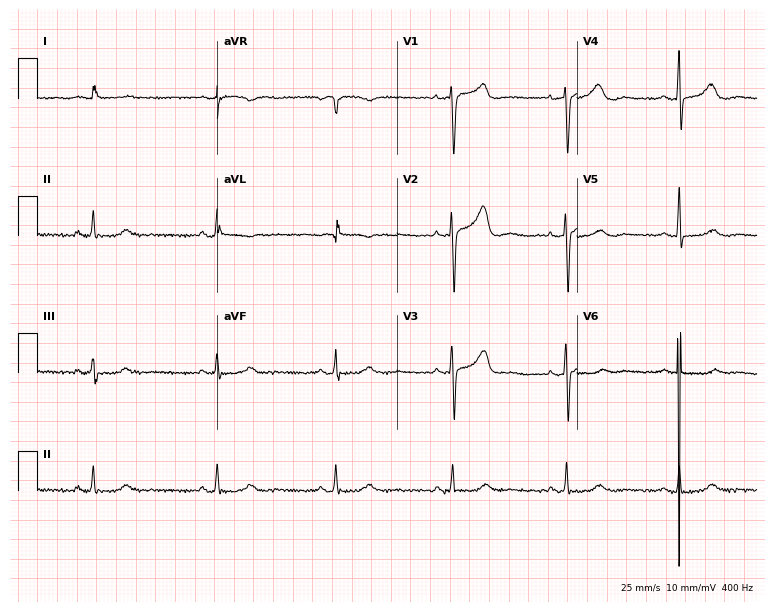
12-lead ECG from a 69-year-old woman. Shows sinus bradycardia (a sinus rate of 50 beats per minute or less).